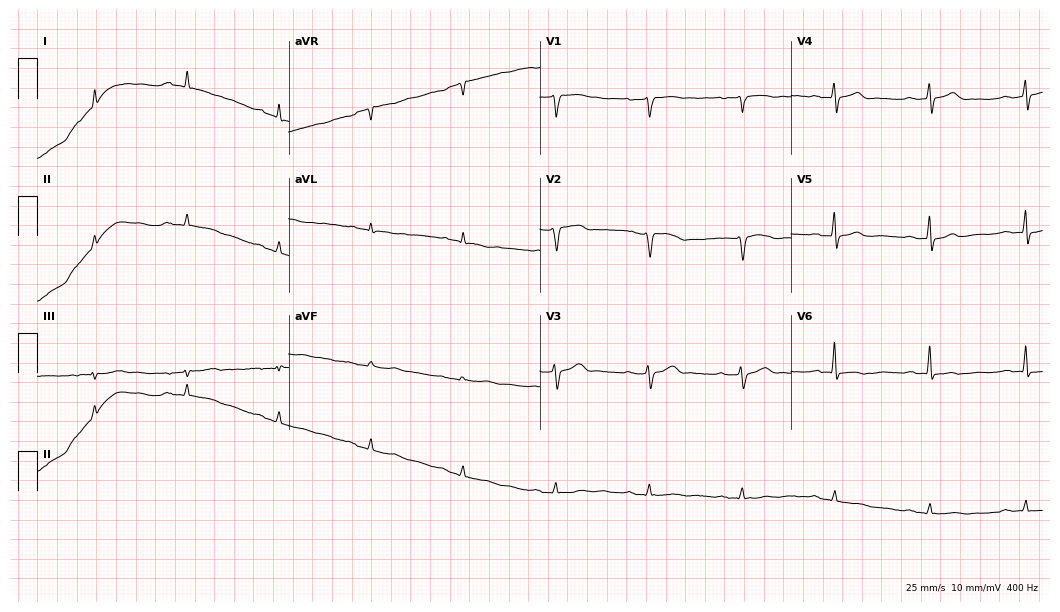
Standard 12-lead ECG recorded from a male, 68 years old (10.2-second recording at 400 Hz). None of these six findings is recorded: first-degree AV block, right bundle branch block (RBBB), left bundle branch block (LBBB), sinus bradycardia, atrial fibrillation (AF), sinus tachycardia. Findings outside these six are not listed.